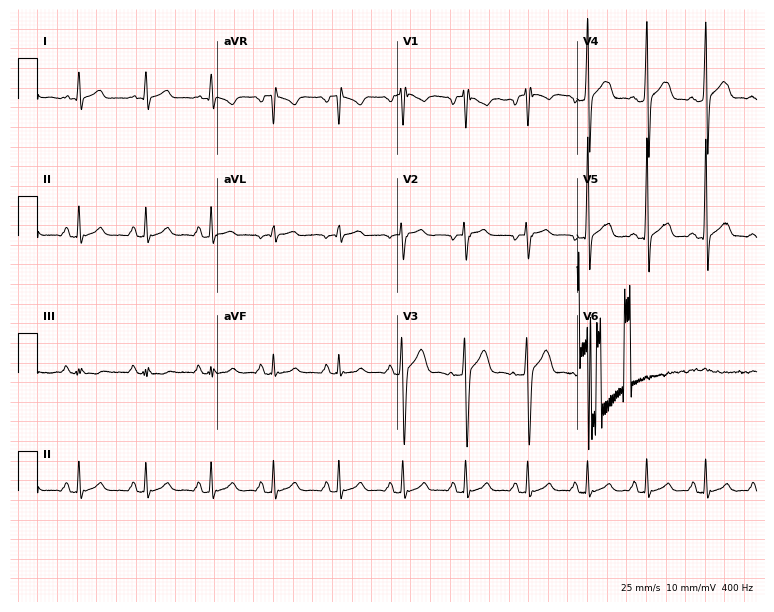
Resting 12-lead electrocardiogram (7.3-second recording at 400 Hz). Patient: a male, 23 years old. Read as a normal ECG.